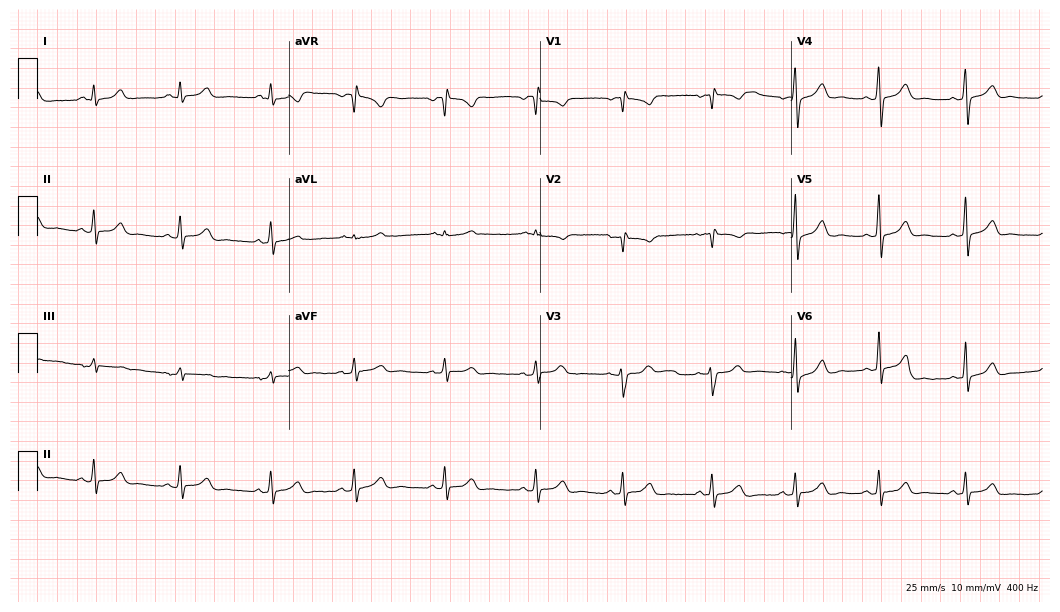
12-lead ECG from a 24-year-old woman. Labelled as a normal ECG.